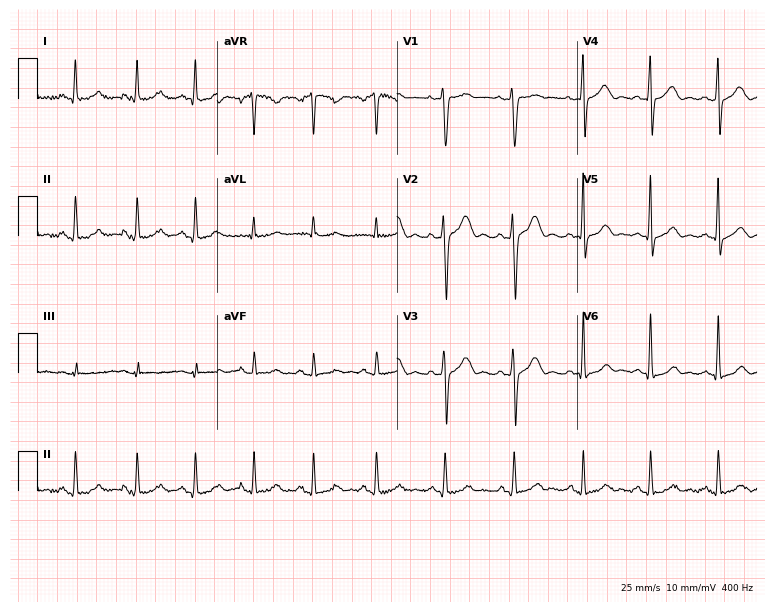
12-lead ECG (7.3-second recording at 400 Hz) from a male, 34 years old. Labelled as a normal ECG.